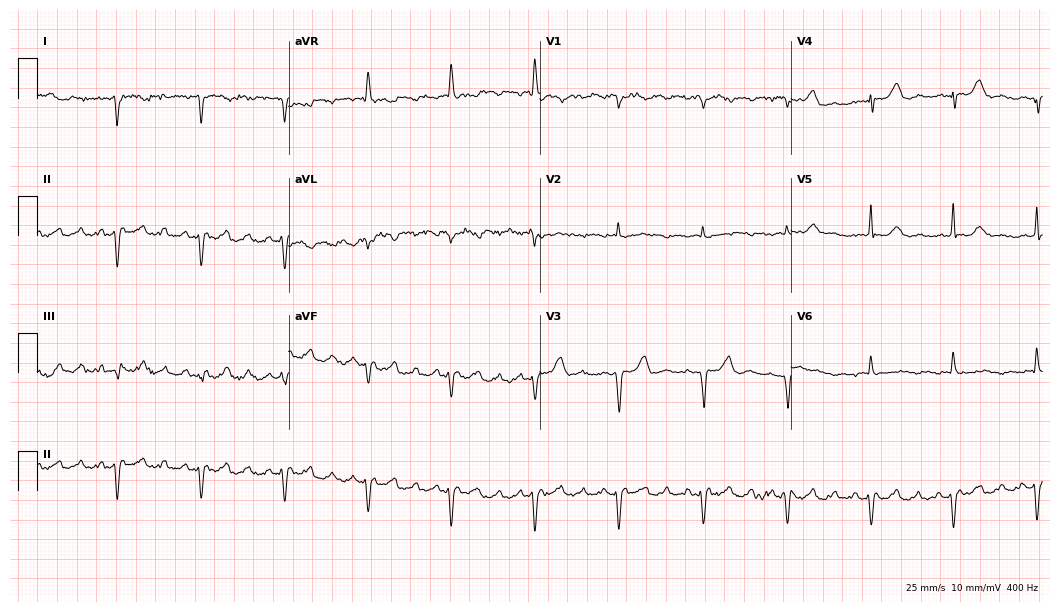
Standard 12-lead ECG recorded from an 81-year-old male patient. None of these six findings is recorded: first-degree AV block, right bundle branch block, left bundle branch block, sinus bradycardia, atrial fibrillation, sinus tachycardia. Other findings, if any, are not listed.